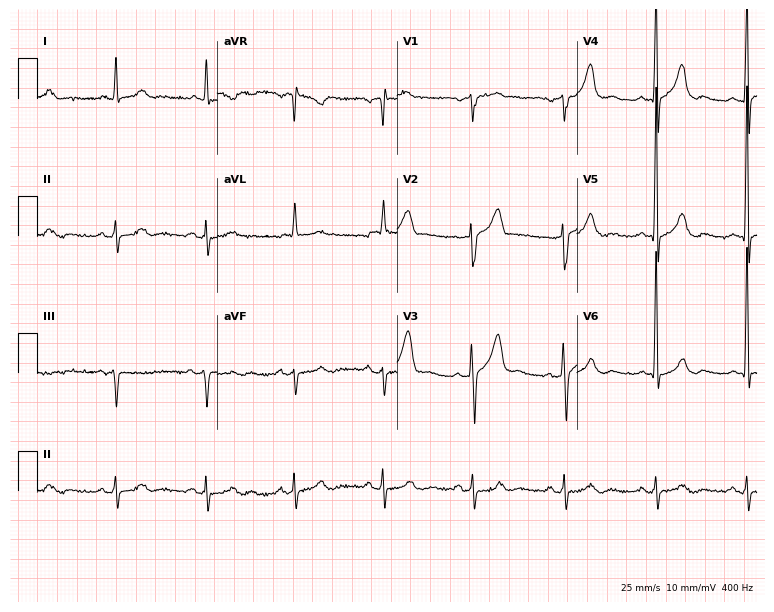
Electrocardiogram, a male patient, 65 years old. Of the six screened findings (first-degree AV block, right bundle branch block, left bundle branch block, sinus bradycardia, atrial fibrillation, sinus tachycardia), none is recorded.